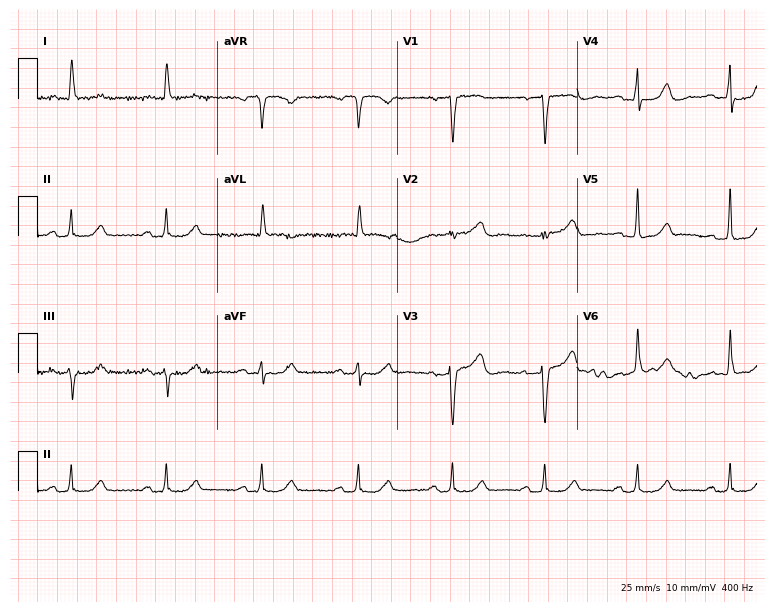
ECG (7.3-second recording at 400 Hz) — a 63-year-old female patient. Screened for six findings — first-degree AV block, right bundle branch block (RBBB), left bundle branch block (LBBB), sinus bradycardia, atrial fibrillation (AF), sinus tachycardia — none is recorded.